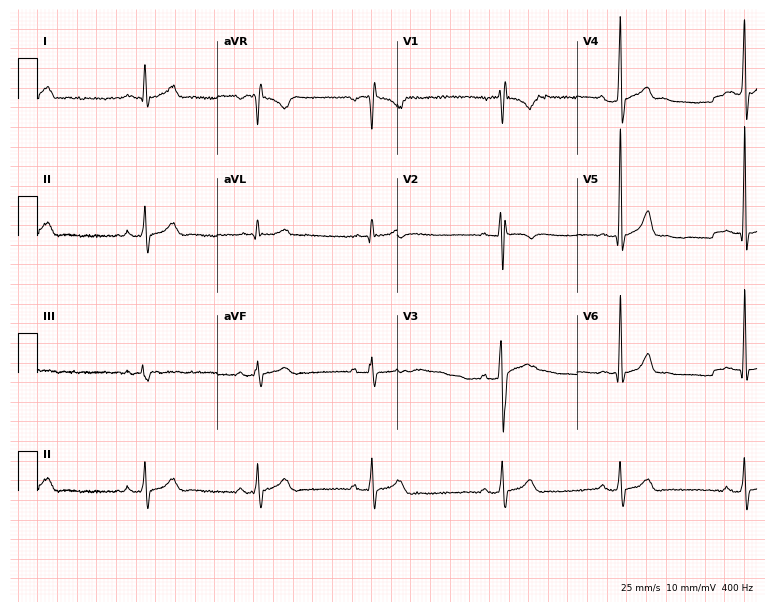
Electrocardiogram, a male, 22 years old. Interpretation includes sinus bradycardia (a sinus rate of 50 beats per minute or less).